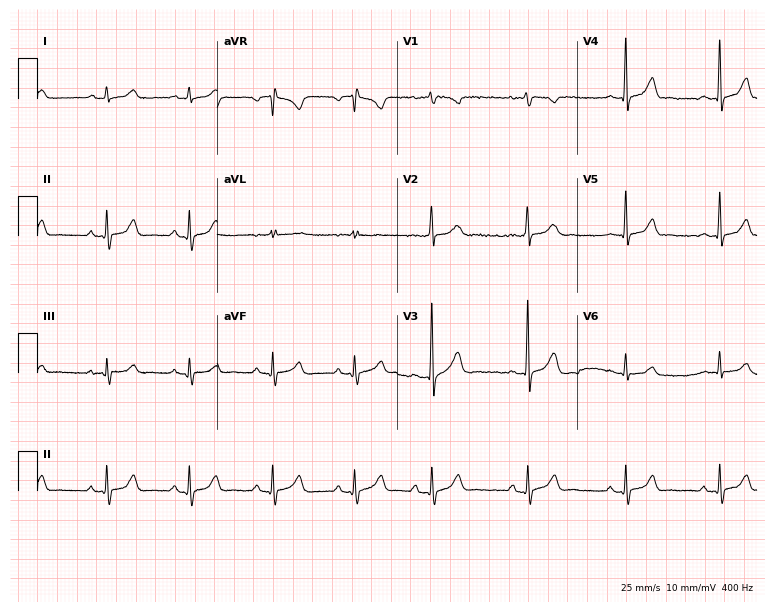
Resting 12-lead electrocardiogram (7.3-second recording at 400 Hz). Patient: a female, 19 years old. Read as a normal ECG.